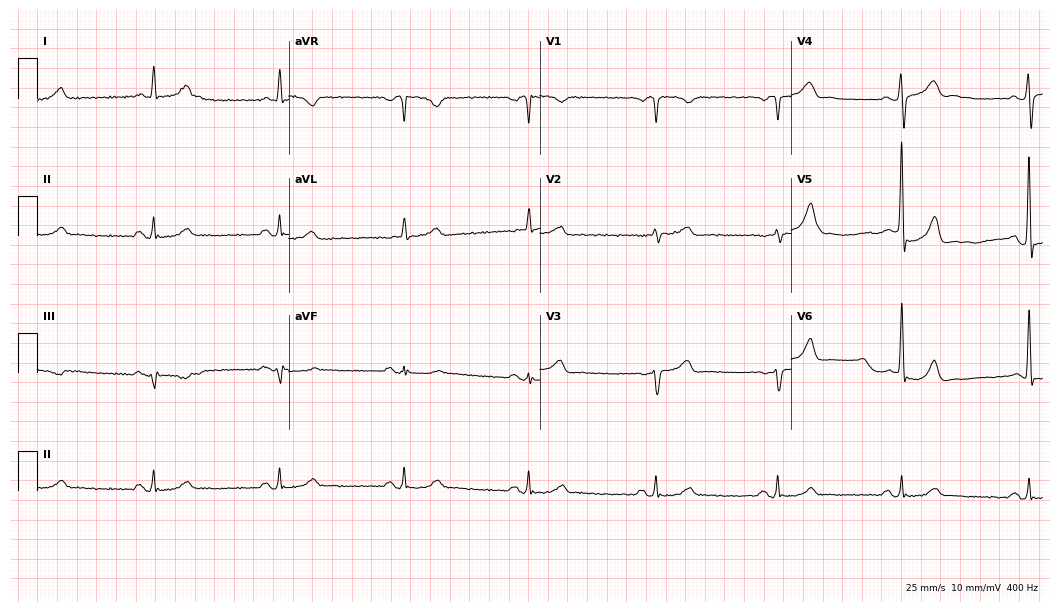
ECG (10.2-second recording at 400 Hz) — a 72-year-old male. Screened for six findings — first-degree AV block, right bundle branch block (RBBB), left bundle branch block (LBBB), sinus bradycardia, atrial fibrillation (AF), sinus tachycardia — none is recorded. Only these six findings were labelled.